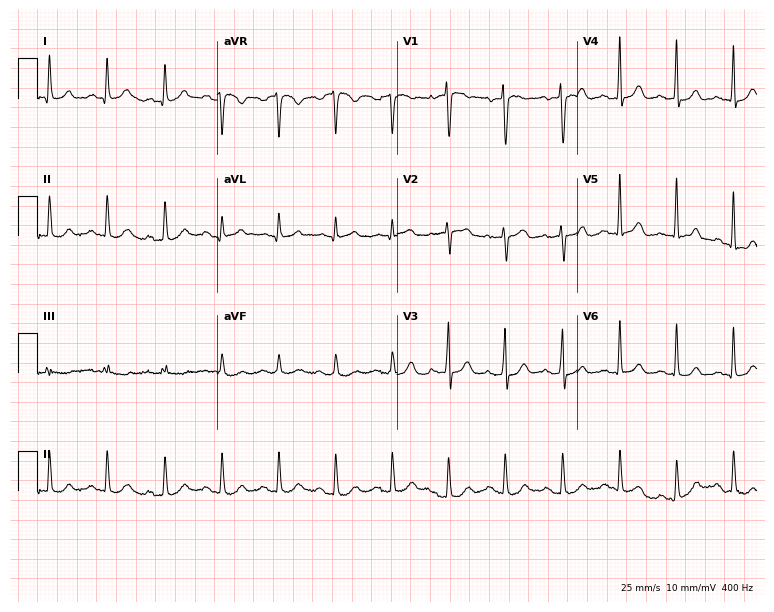
Standard 12-lead ECG recorded from a female patient, 40 years old (7.3-second recording at 400 Hz). The tracing shows sinus tachycardia (a sinus rate of 100 beats per minute or more).